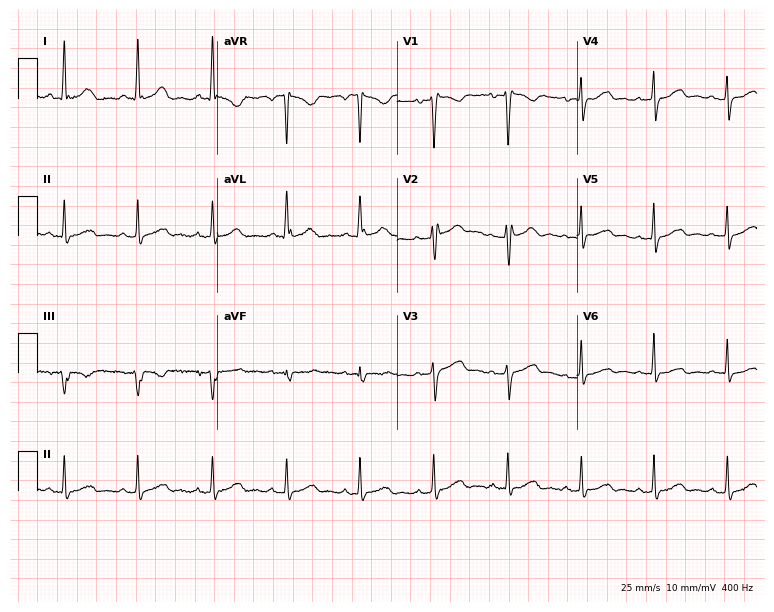
Electrocardiogram, a female, 39 years old. Of the six screened findings (first-degree AV block, right bundle branch block, left bundle branch block, sinus bradycardia, atrial fibrillation, sinus tachycardia), none is recorded. Findings outside these six are not listed.